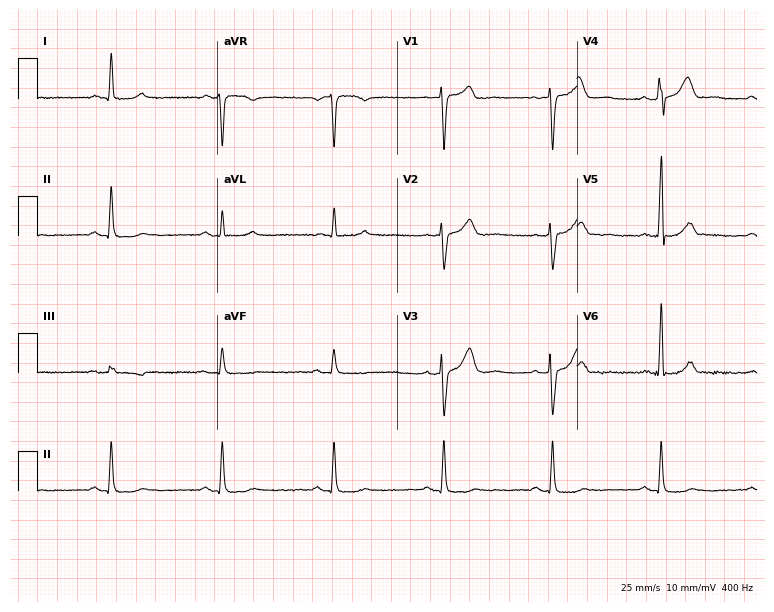
12-lead ECG from a female patient, 58 years old (7.3-second recording at 400 Hz). Recorded interpretation: within normal limits.